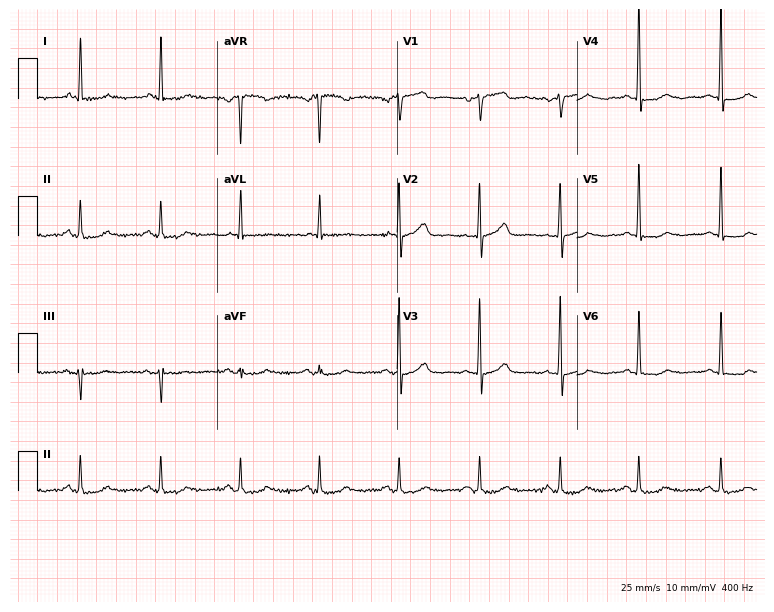
12-lead ECG (7.3-second recording at 400 Hz) from an 80-year-old female patient. Screened for six findings — first-degree AV block, right bundle branch block, left bundle branch block, sinus bradycardia, atrial fibrillation, sinus tachycardia — none is recorded.